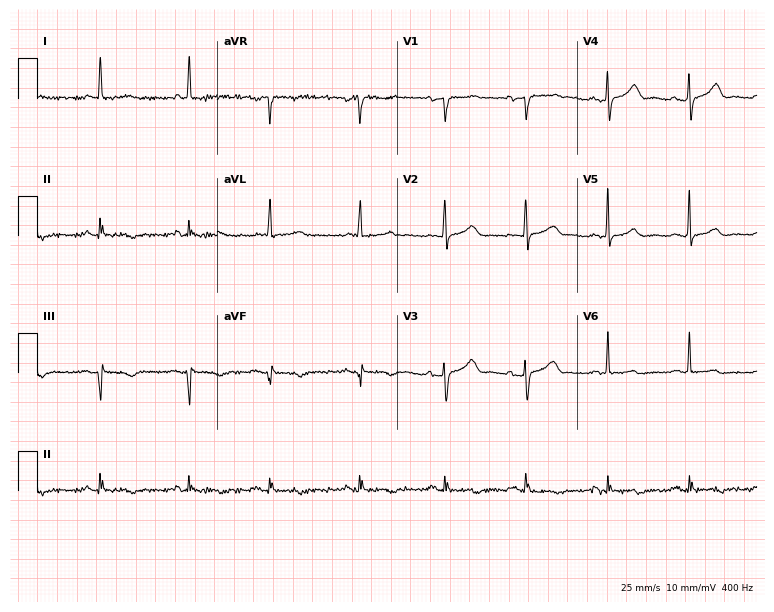
ECG (7.3-second recording at 400 Hz) — a 77-year-old female. Screened for six findings — first-degree AV block, right bundle branch block, left bundle branch block, sinus bradycardia, atrial fibrillation, sinus tachycardia — none is recorded. Only these six findings were labelled.